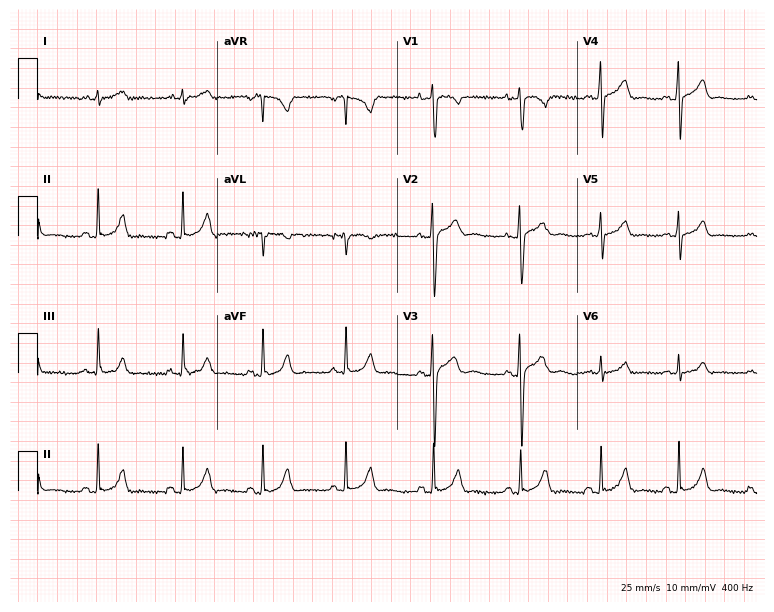
12-lead ECG (7.3-second recording at 400 Hz) from a male, 18 years old. Labelled as a normal ECG.